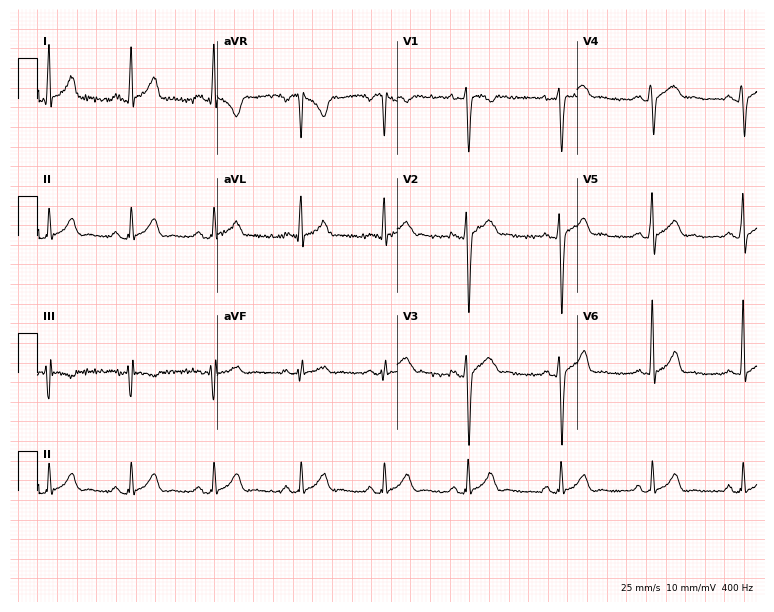
12-lead ECG from a male, 27 years old. Recorded interpretation: within normal limits.